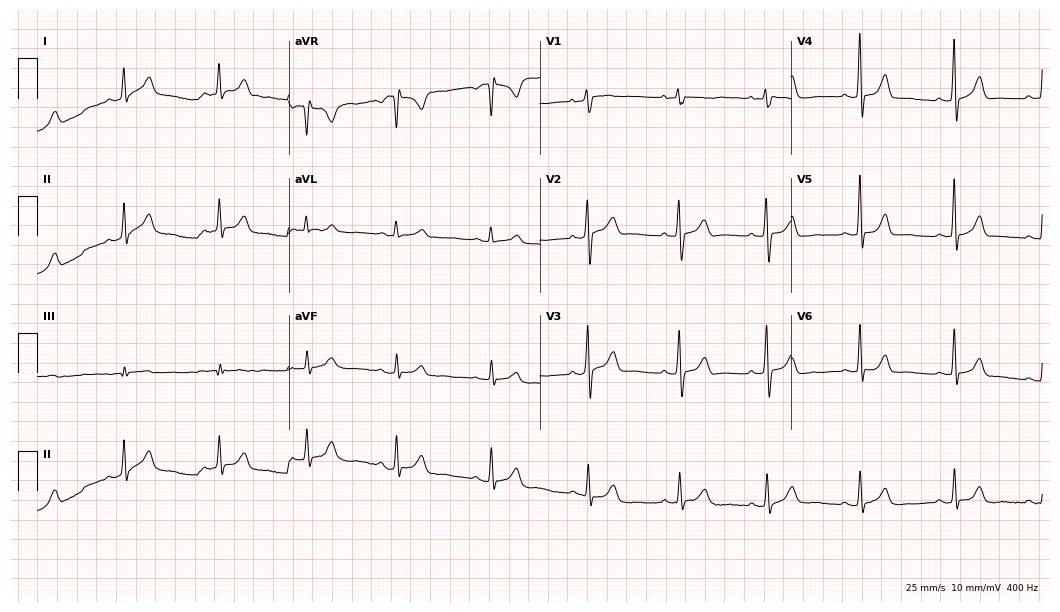
Resting 12-lead electrocardiogram. Patient: a female, 60 years old. Read as a normal ECG.